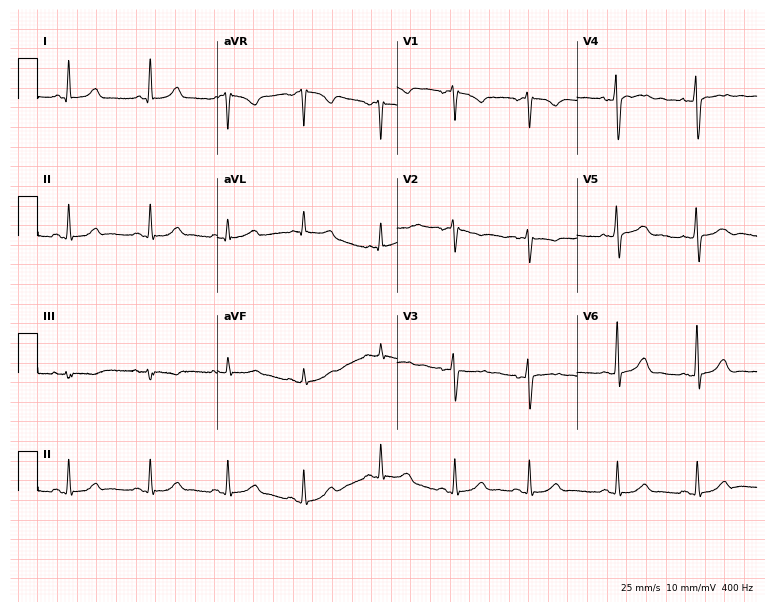
ECG — a 44-year-old female patient. Labelled as a normal ECG.